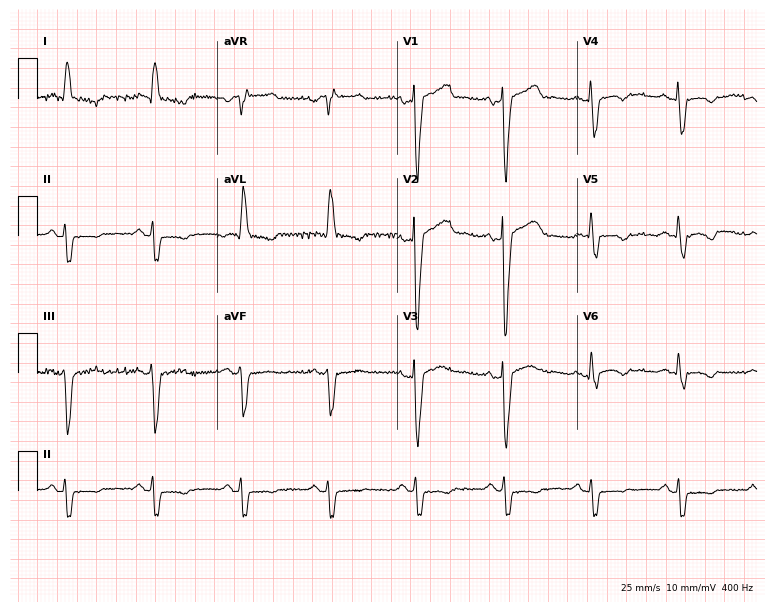
Standard 12-lead ECG recorded from a 69-year-old male patient (7.3-second recording at 400 Hz). The tracing shows left bundle branch block.